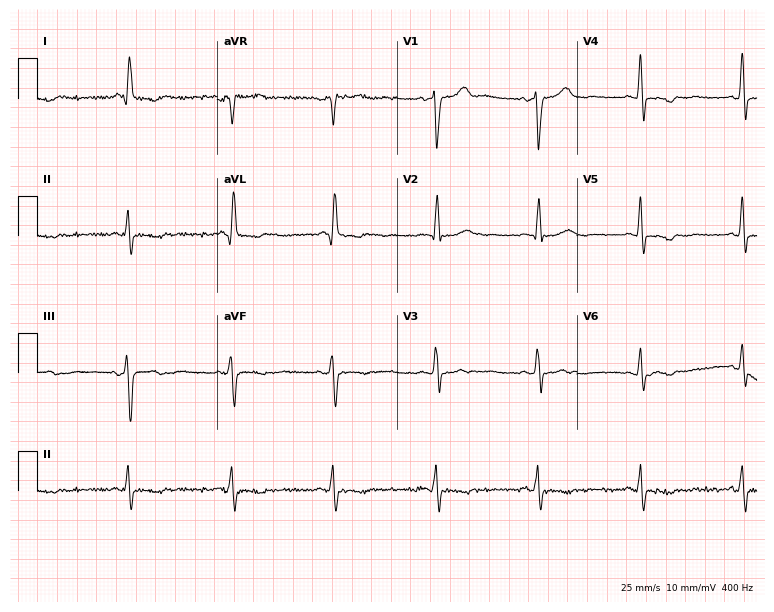
ECG (7.3-second recording at 400 Hz) — a female, 51 years old. Screened for six findings — first-degree AV block, right bundle branch block (RBBB), left bundle branch block (LBBB), sinus bradycardia, atrial fibrillation (AF), sinus tachycardia — none is recorded.